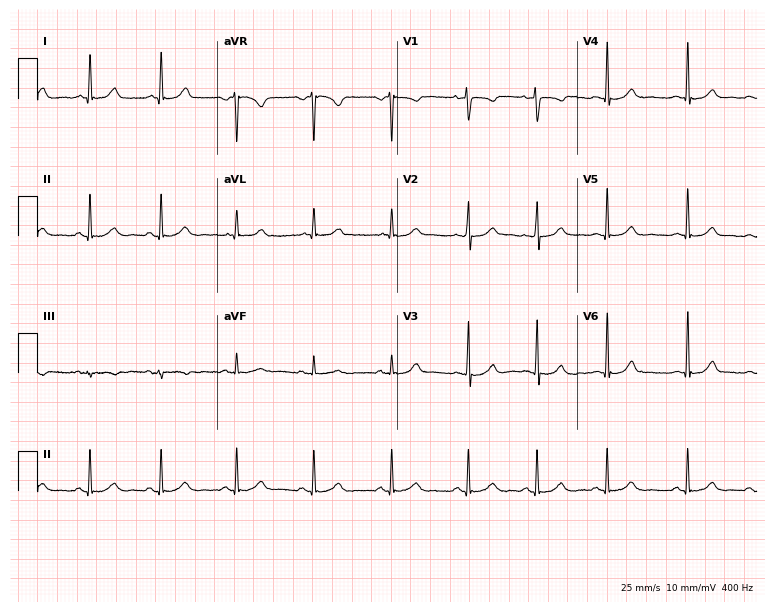
Resting 12-lead electrocardiogram (7.3-second recording at 400 Hz). Patient: a 39-year-old female. Read as a normal ECG.